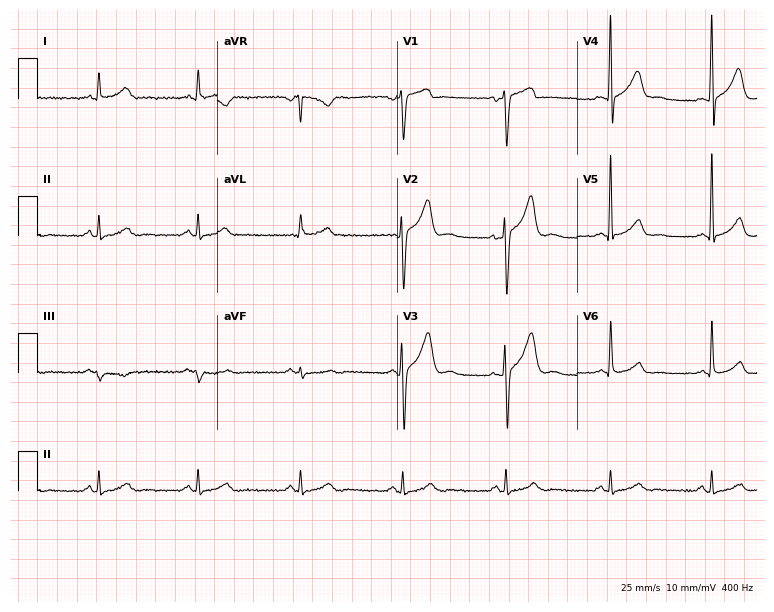
Resting 12-lead electrocardiogram. Patient: a male, 48 years old. Read as a normal ECG.